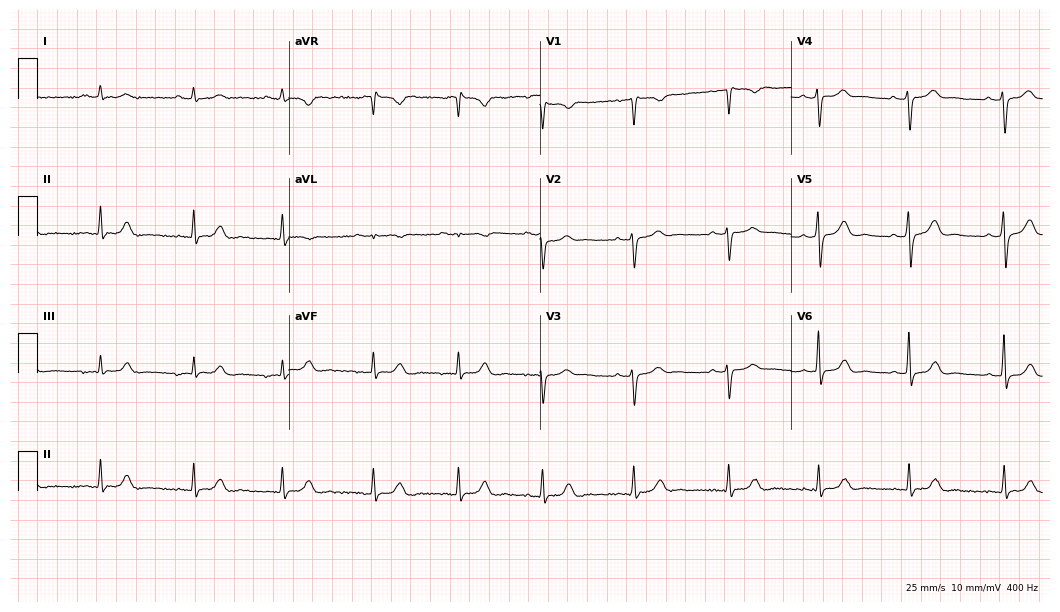
12-lead ECG from a 44-year-old male. Labelled as a normal ECG.